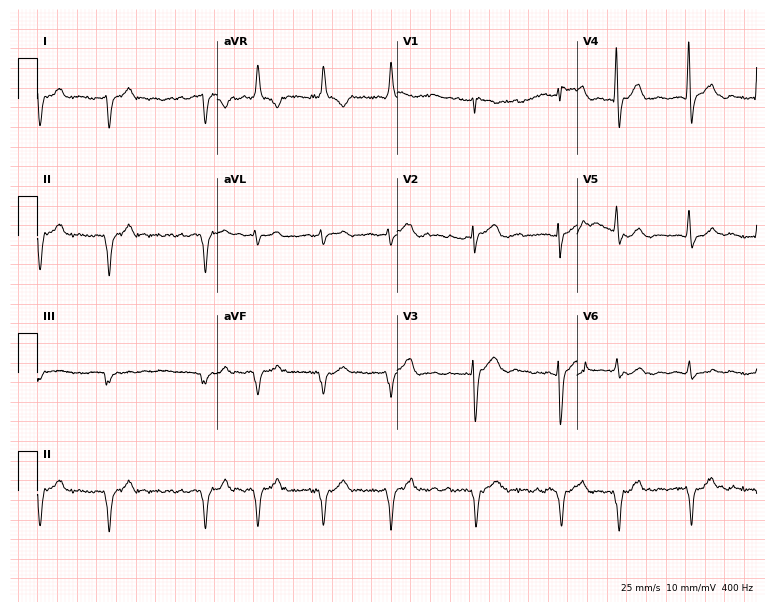
Resting 12-lead electrocardiogram. Patient: a 76-year-old male. The tracing shows atrial fibrillation (AF).